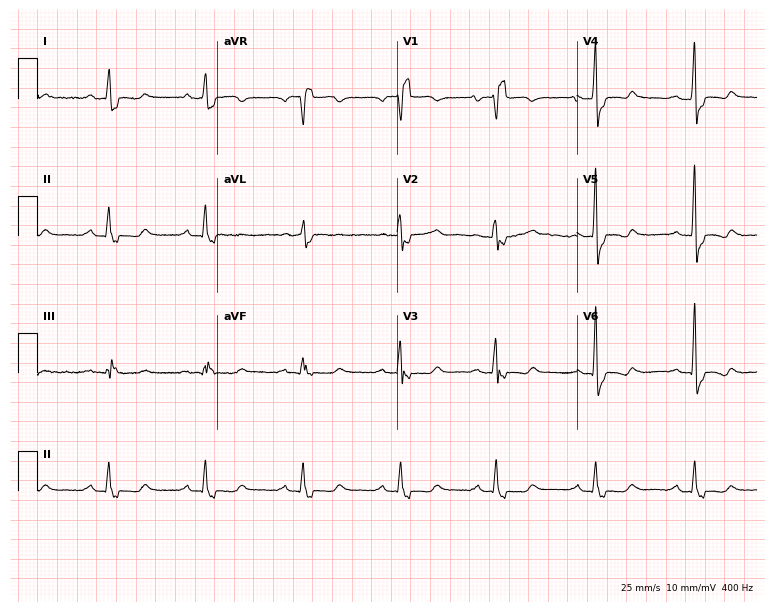
12-lead ECG (7.3-second recording at 400 Hz) from a 59-year-old woman. Findings include right bundle branch block.